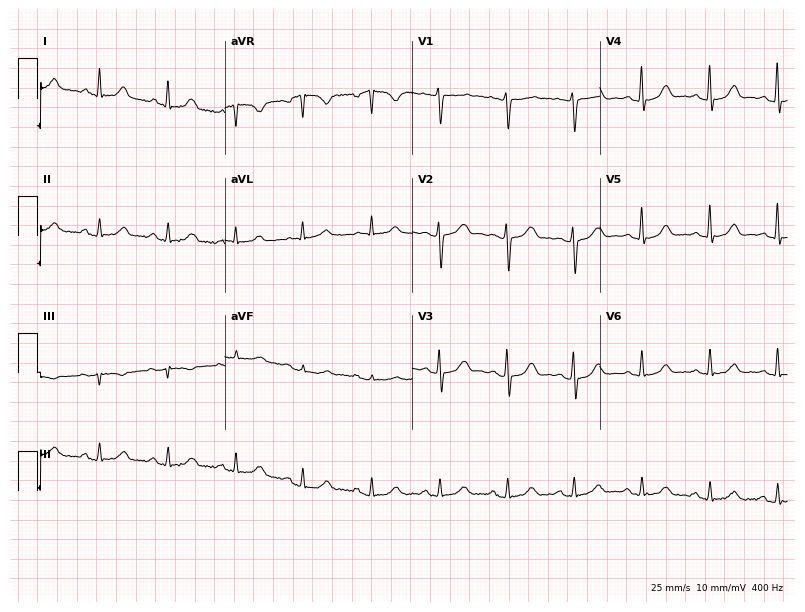
12-lead ECG (7.6-second recording at 400 Hz) from a 53-year-old female. Labelled as a normal ECG.